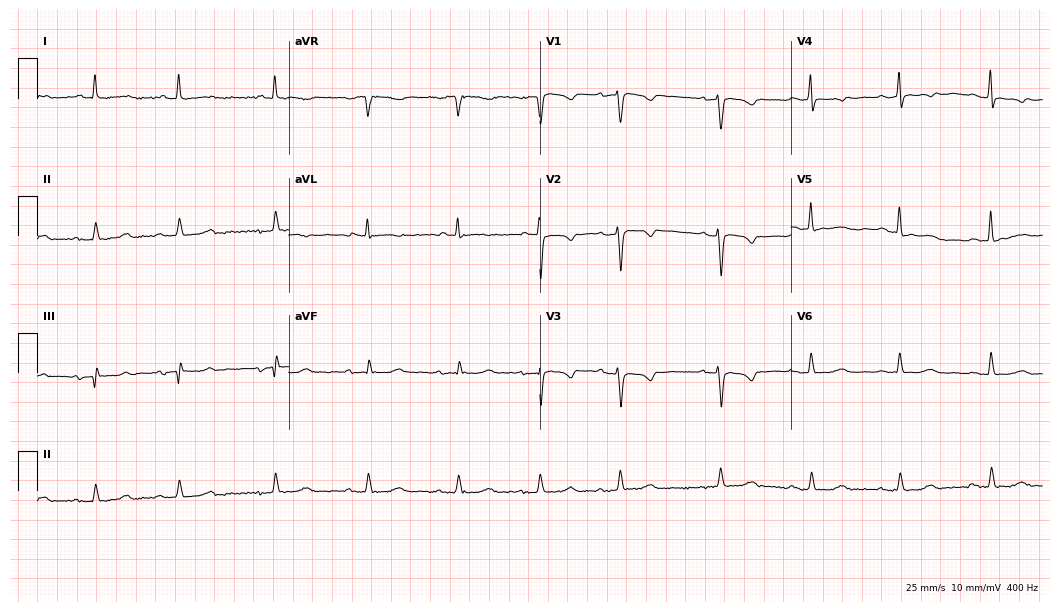
12-lead ECG from a woman, 81 years old. Recorded interpretation: within normal limits.